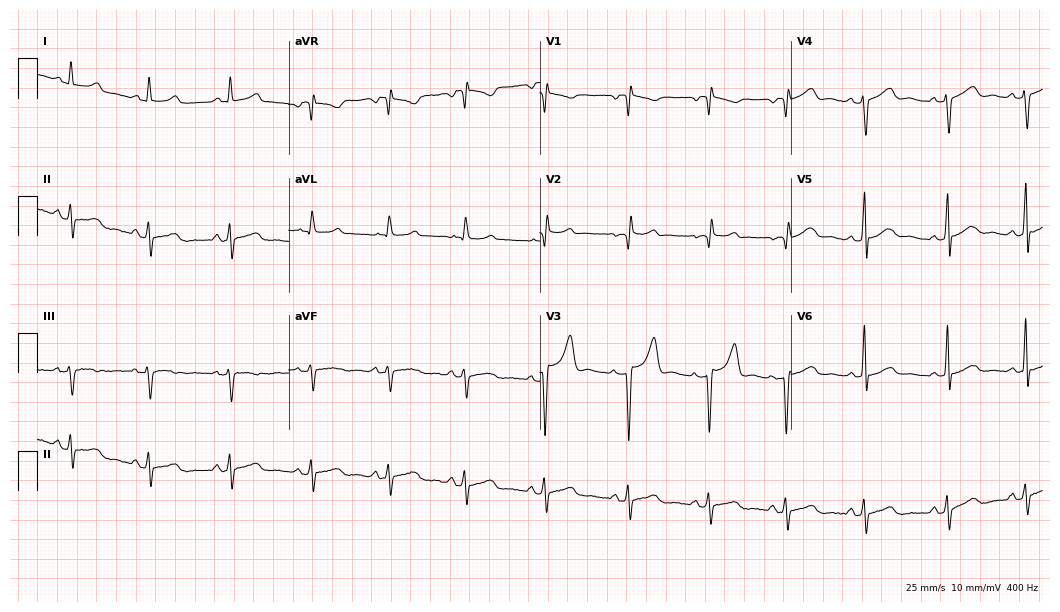
Resting 12-lead electrocardiogram. Patient: a 25-year-old female. None of these six findings is recorded: first-degree AV block, right bundle branch block, left bundle branch block, sinus bradycardia, atrial fibrillation, sinus tachycardia. Only these six findings were labelled.